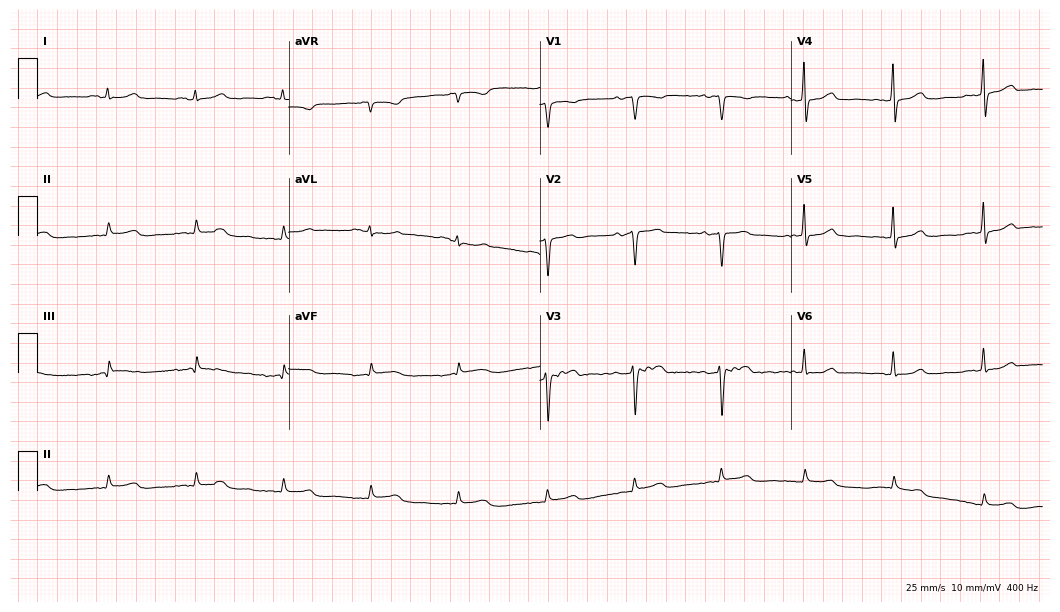
Electrocardiogram, an 80-year-old male. Of the six screened findings (first-degree AV block, right bundle branch block, left bundle branch block, sinus bradycardia, atrial fibrillation, sinus tachycardia), none is recorded. Findings outside these six are not listed.